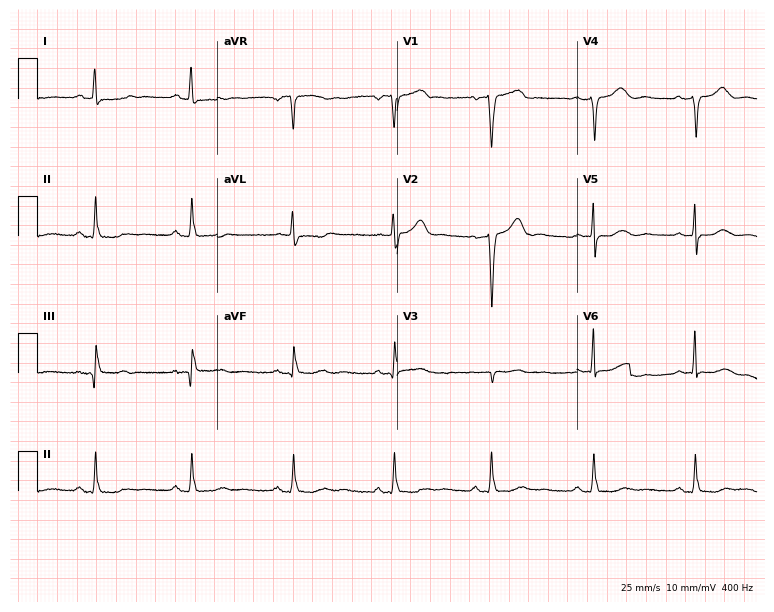
Resting 12-lead electrocardiogram. Patient: a female, 55 years old. None of these six findings is recorded: first-degree AV block, right bundle branch block, left bundle branch block, sinus bradycardia, atrial fibrillation, sinus tachycardia.